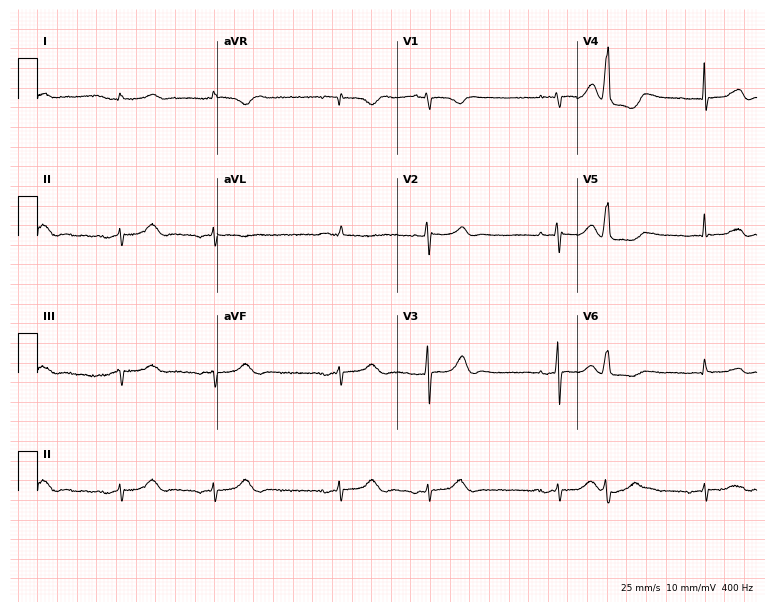
Resting 12-lead electrocardiogram (7.3-second recording at 400 Hz). Patient: a female, 75 years old. None of these six findings is recorded: first-degree AV block, right bundle branch block, left bundle branch block, sinus bradycardia, atrial fibrillation, sinus tachycardia.